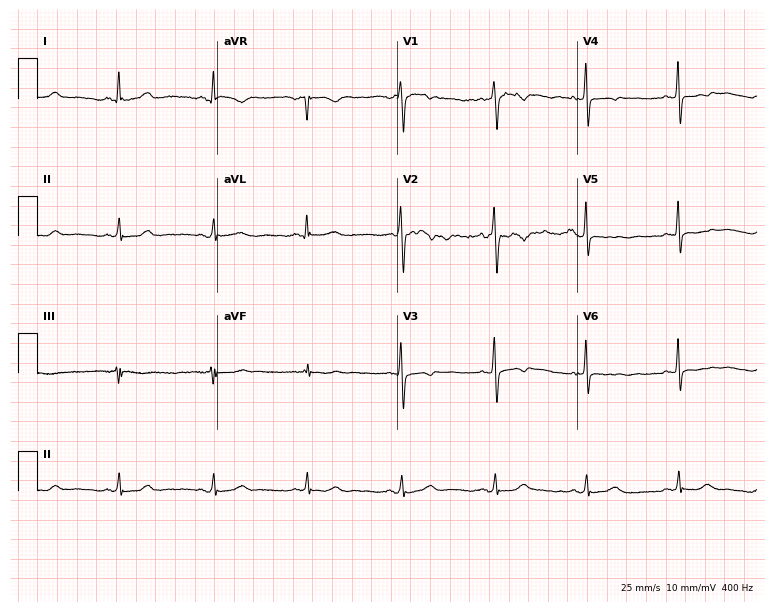
Electrocardiogram, a 58-year-old female. Of the six screened findings (first-degree AV block, right bundle branch block (RBBB), left bundle branch block (LBBB), sinus bradycardia, atrial fibrillation (AF), sinus tachycardia), none is recorded. Only these six findings were labelled.